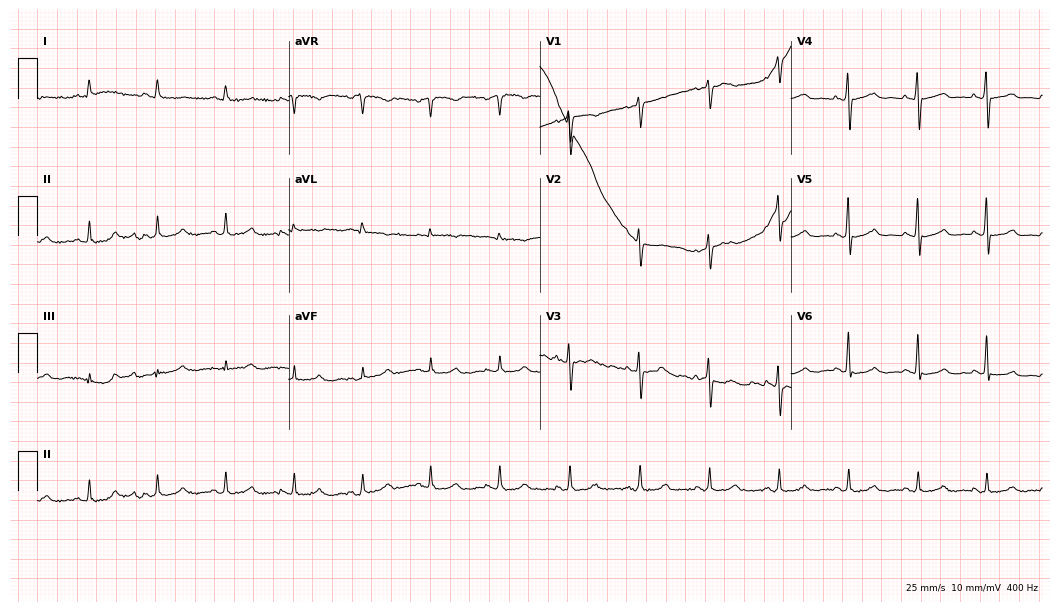
Standard 12-lead ECG recorded from a 58-year-old female patient (10.2-second recording at 400 Hz). Read as a normal ECG.